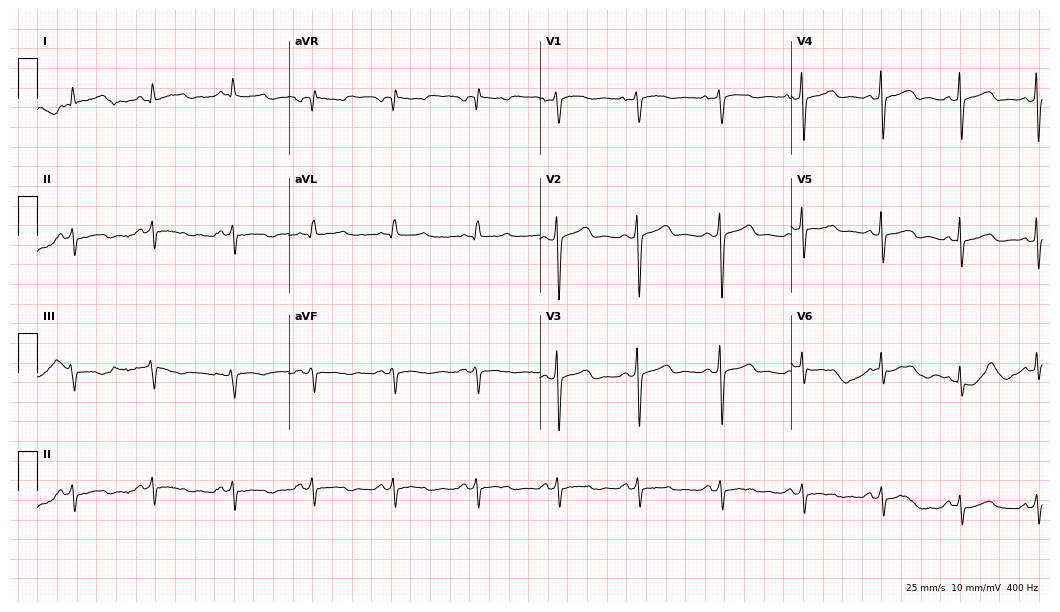
12-lead ECG from a woman, 56 years old (10.2-second recording at 400 Hz). No first-degree AV block, right bundle branch block (RBBB), left bundle branch block (LBBB), sinus bradycardia, atrial fibrillation (AF) or sinus tachycardia recorded for this tracing. Other findings, if any, are not listed.